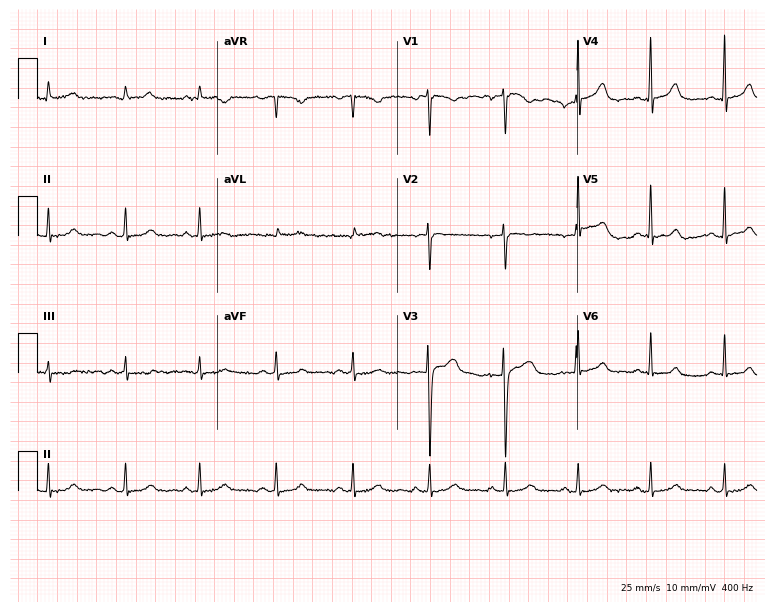
Standard 12-lead ECG recorded from a 44-year-old female. None of these six findings is recorded: first-degree AV block, right bundle branch block, left bundle branch block, sinus bradycardia, atrial fibrillation, sinus tachycardia.